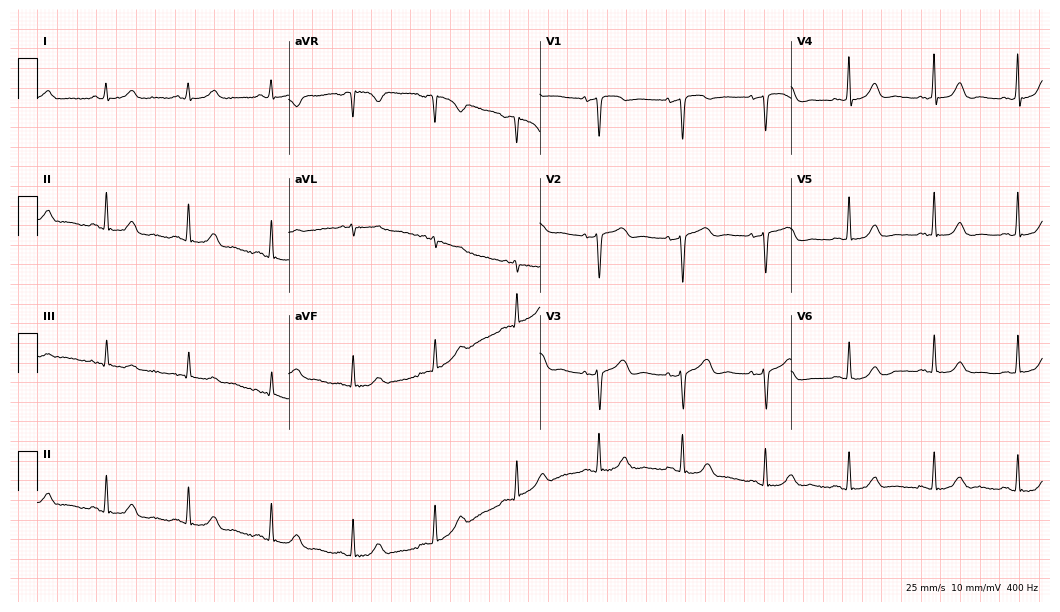
12-lead ECG from a woman, 69 years old. Screened for six findings — first-degree AV block, right bundle branch block (RBBB), left bundle branch block (LBBB), sinus bradycardia, atrial fibrillation (AF), sinus tachycardia — none is recorded. Only these six findings were labelled.